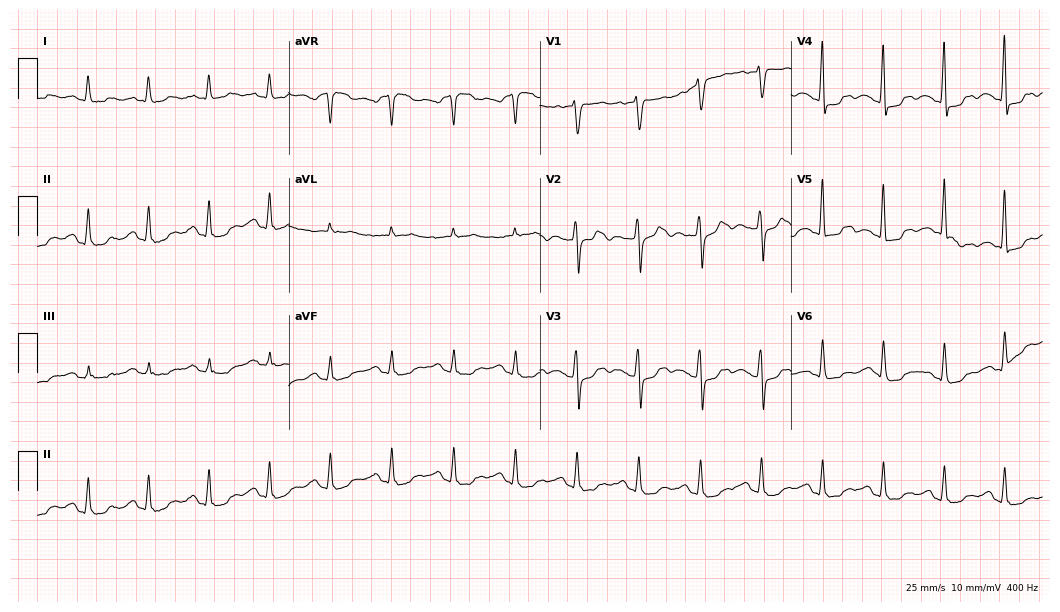
12-lead ECG from a woman, 65 years old. Screened for six findings — first-degree AV block, right bundle branch block, left bundle branch block, sinus bradycardia, atrial fibrillation, sinus tachycardia — none is recorded. Only these six findings were labelled.